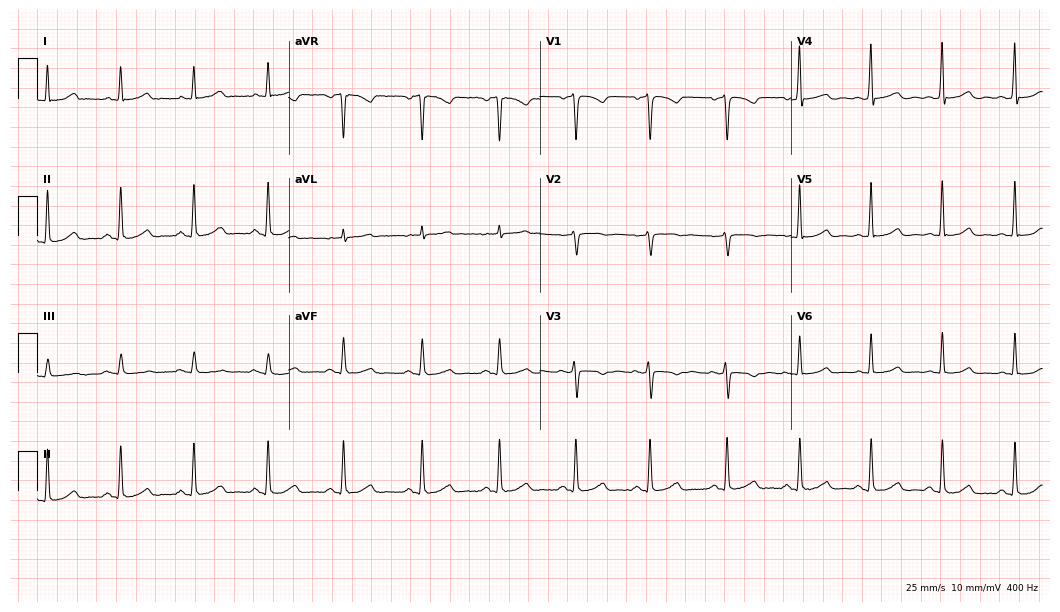
12-lead ECG from a female, 44 years old (10.2-second recording at 400 Hz). No first-degree AV block, right bundle branch block, left bundle branch block, sinus bradycardia, atrial fibrillation or sinus tachycardia recorded for this tracing. Only these six findings were labelled.